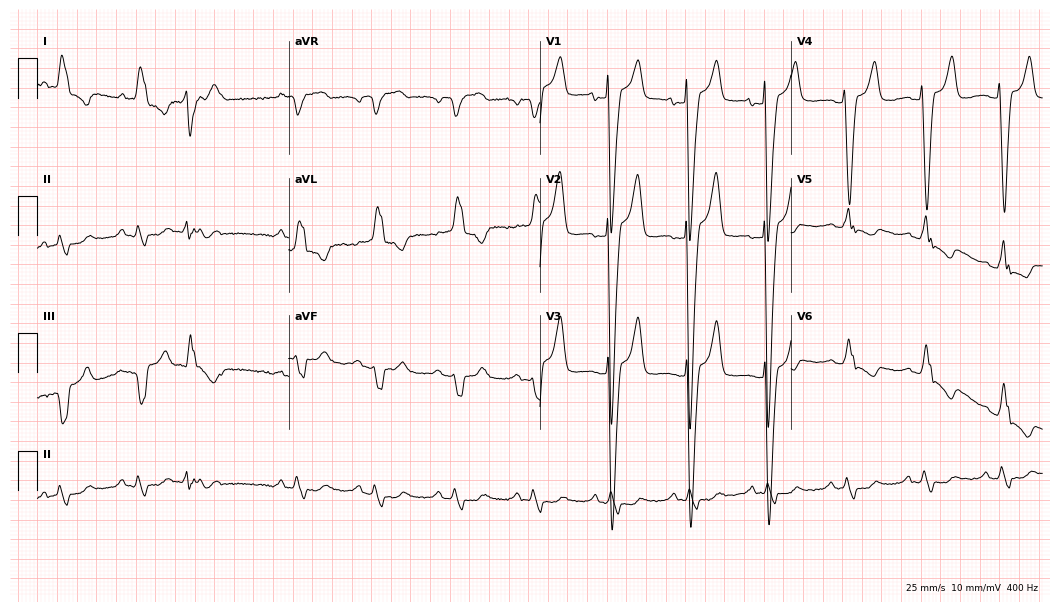
Resting 12-lead electrocardiogram. Patient: a 76-year-old female. The tracing shows left bundle branch block (LBBB).